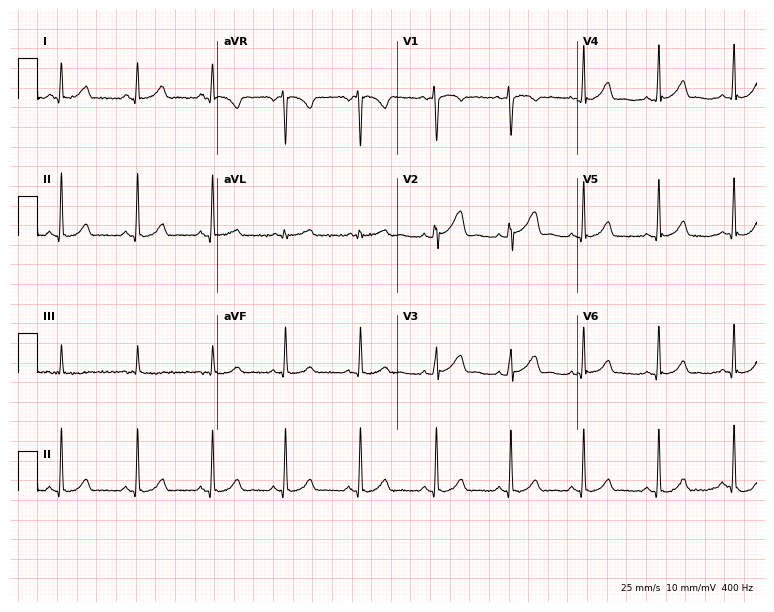
ECG (7.3-second recording at 400 Hz) — a 17-year-old female patient. Labelled as a normal ECG.